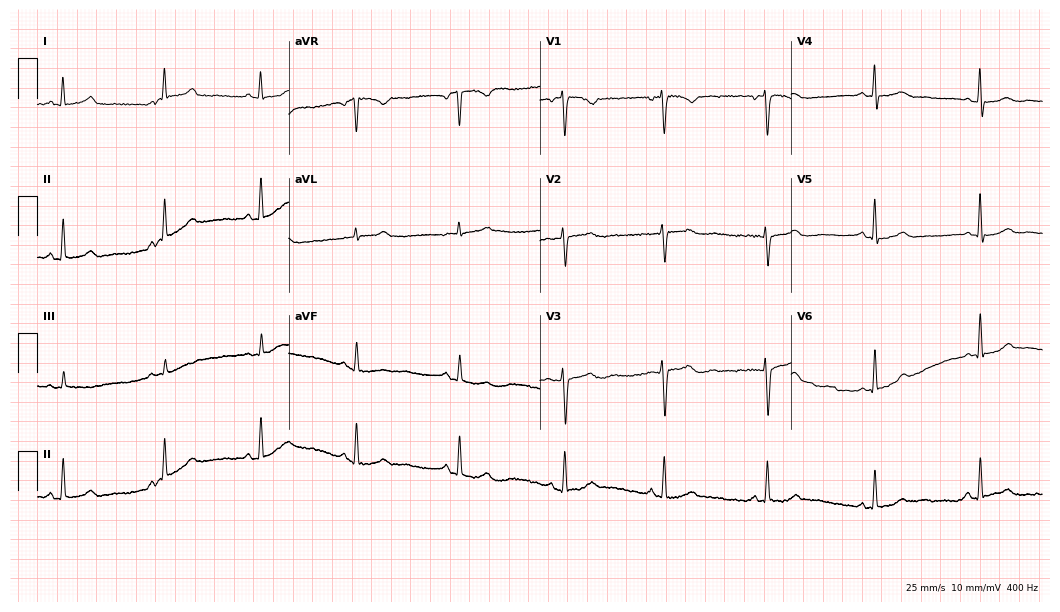
Standard 12-lead ECG recorded from a woman, 56 years old. Read as a normal ECG.